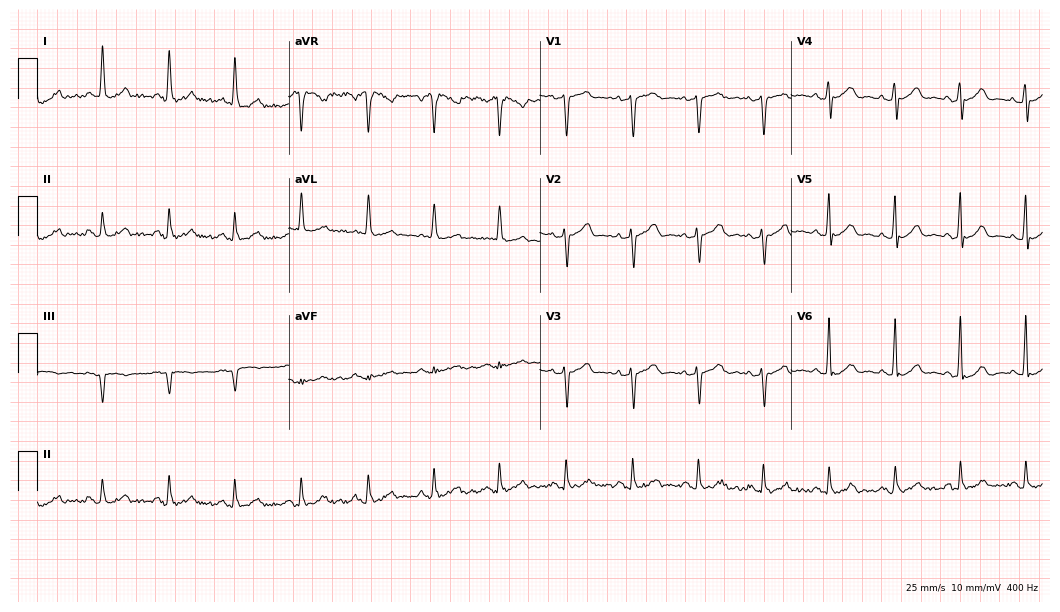
12-lead ECG from a 67-year-old female patient. Recorded interpretation: within normal limits.